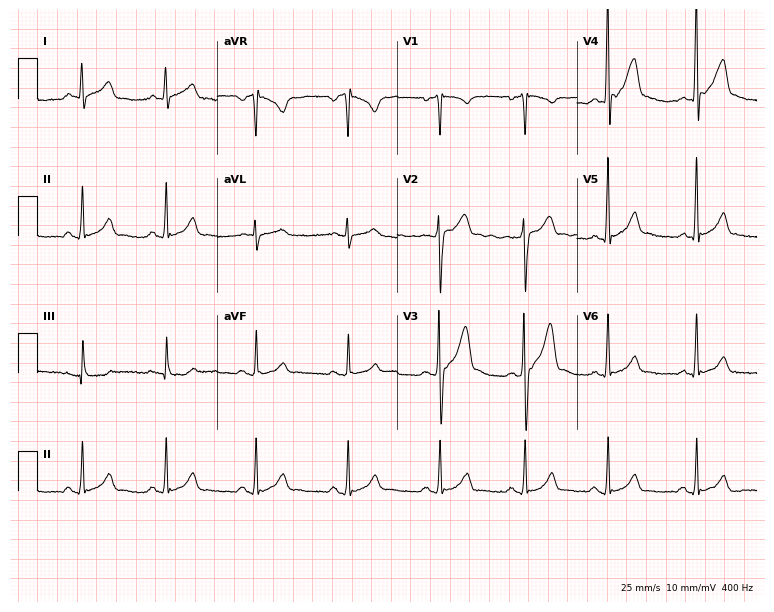
12-lead ECG from a 31-year-old male (7.3-second recording at 400 Hz). Recorded interpretation: within normal limits.